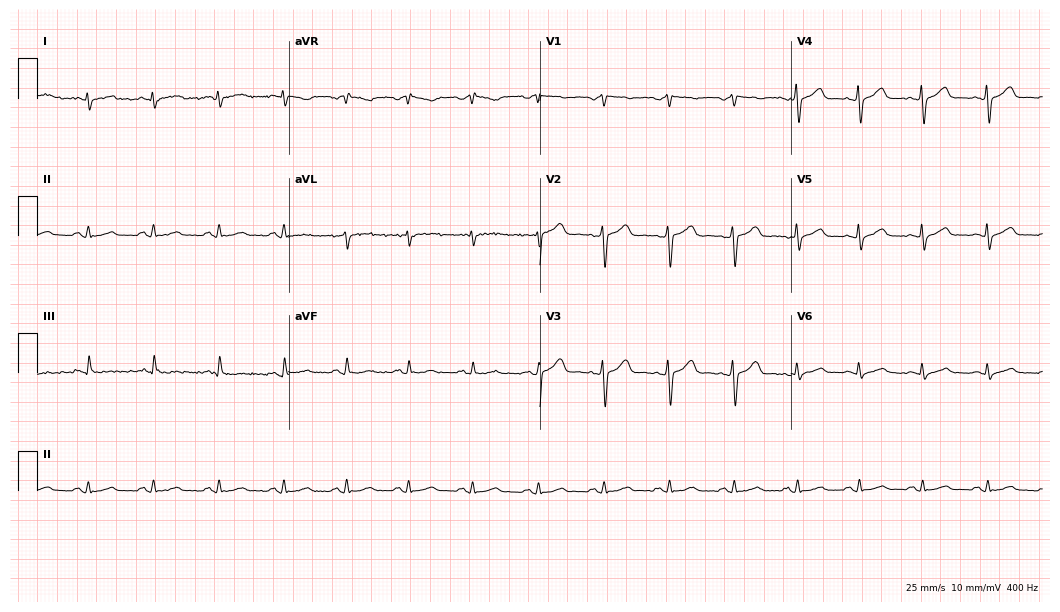
12-lead ECG from a 50-year-old male. Labelled as a normal ECG.